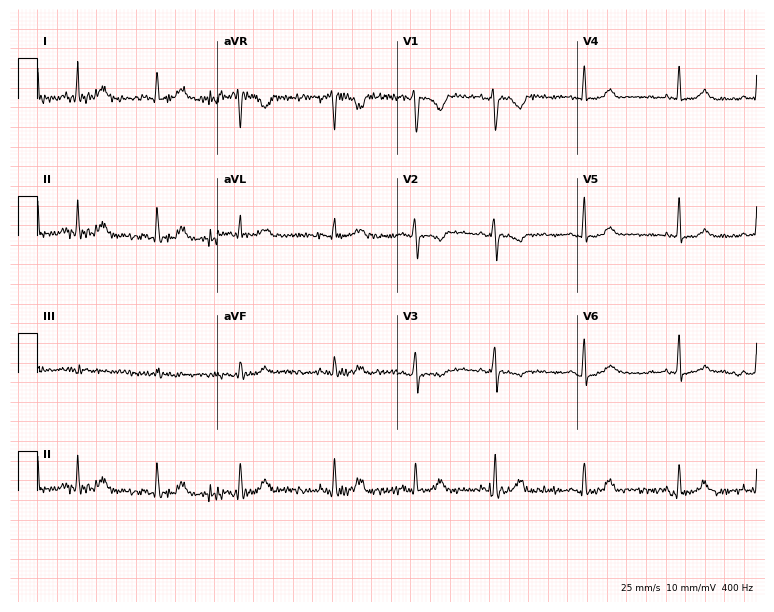
Electrocardiogram (7.3-second recording at 400 Hz), a female patient, 37 years old. Of the six screened findings (first-degree AV block, right bundle branch block (RBBB), left bundle branch block (LBBB), sinus bradycardia, atrial fibrillation (AF), sinus tachycardia), none is recorded.